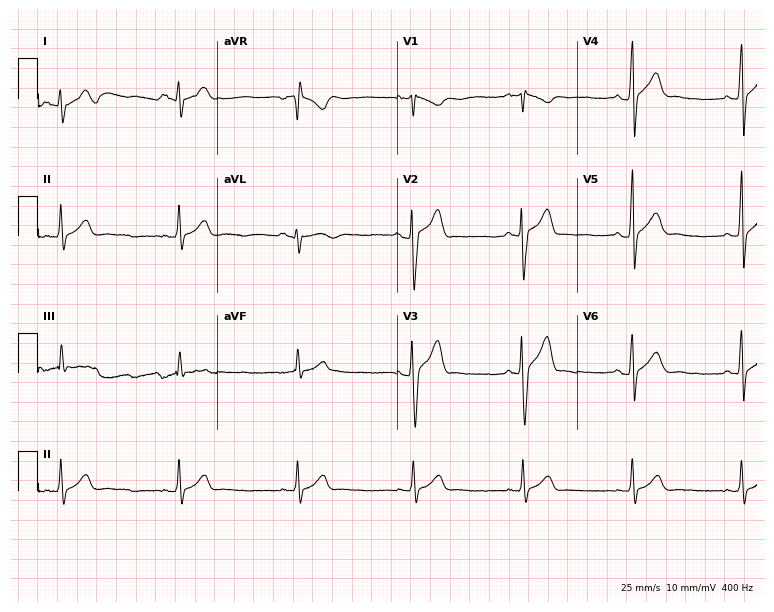
Electrocardiogram, a man, 23 years old. Of the six screened findings (first-degree AV block, right bundle branch block, left bundle branch block, sinus bradycardia, atrial fibrillation, sinus tachycardia), none is recorded.